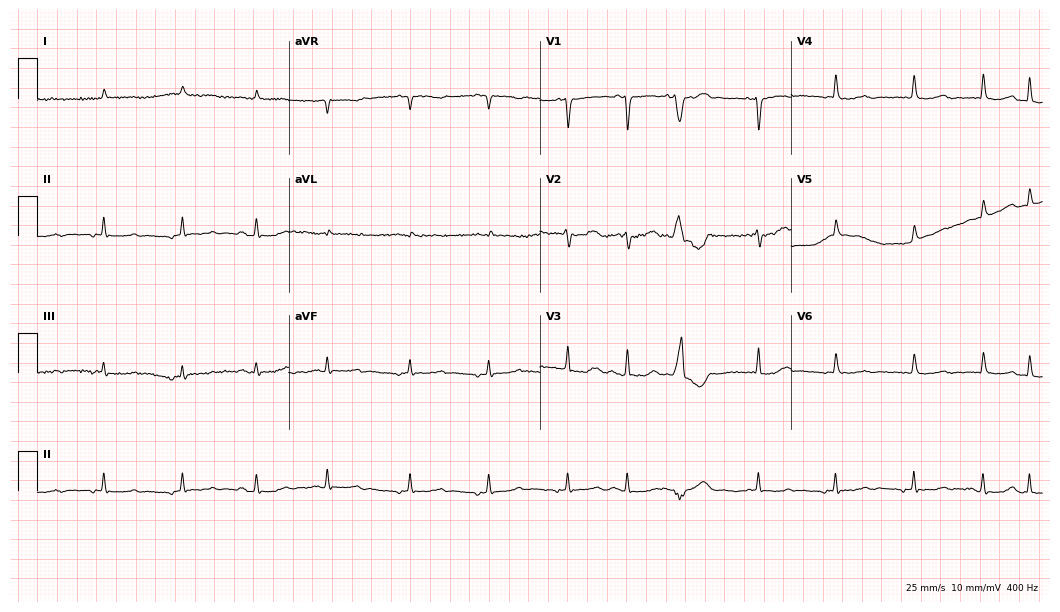
12-lead ECG from an 85-year-old male patient. No first-degree AV block, right bundle branch block, left bundle branch block, sinus bradycardia, atrial fibrillation or sinus tachycardia recorded for this tracing.